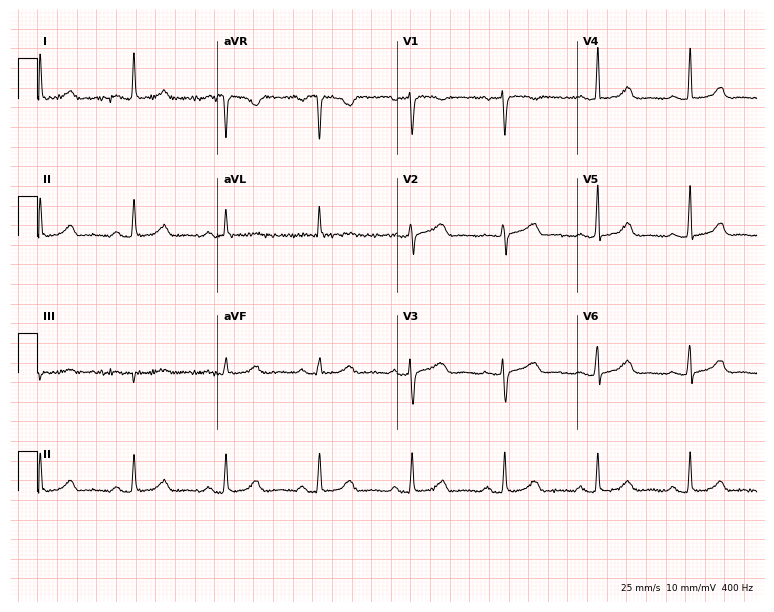
Standard 12-lead ECG recorded from a female patient, 62 years old (7.3-second recording at 400 Hz). Read as a normal ECG.